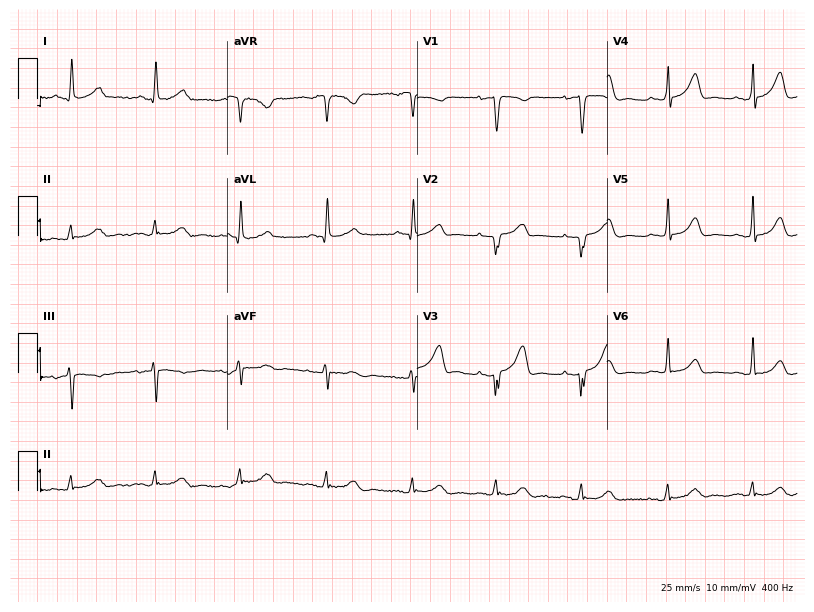
Electrocardiogram (7.7-second recording at 400 Hz), a 51-year-old female. Overall reading on record: normal ECG.